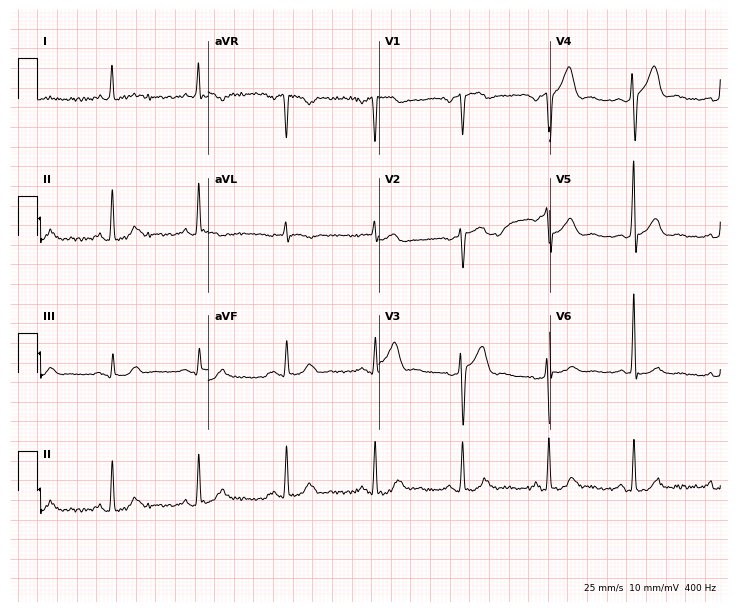
Resting 12-lead electrocardiogram (7-second recording at 400 Hz). Patient: a 69-year-old male. None of these six findings is recorded: first-degree AV block, right bundle branch block, left bundle branch block, sinus bradycardia, atrial fibrillation, sinus tachycardia. Other findings, if any, are not listed.